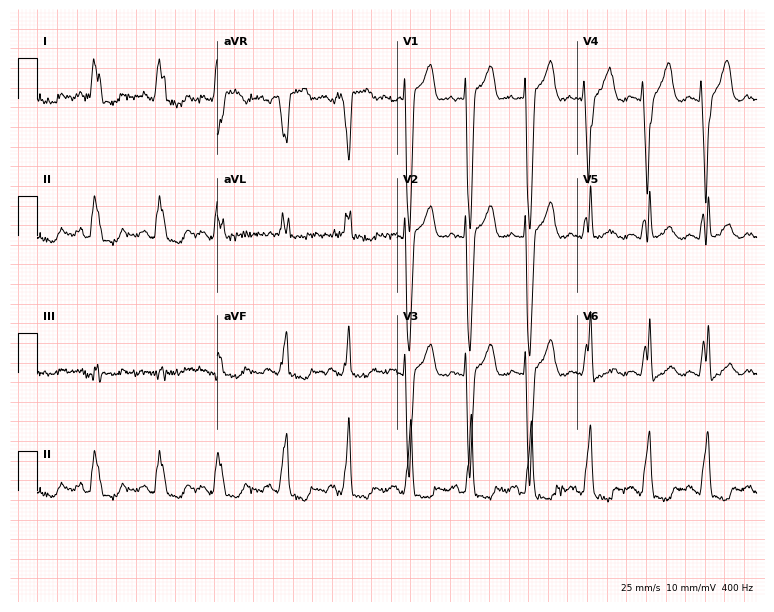
ECG — a 79-year-old woman. Screened for six findings — first-degree AV block, right bundle branch block, left bundle branch block, sinus bradycardia, atrial fibrillation, sinus tachycardia — none is recorded. Other findings, if any, are not listed.